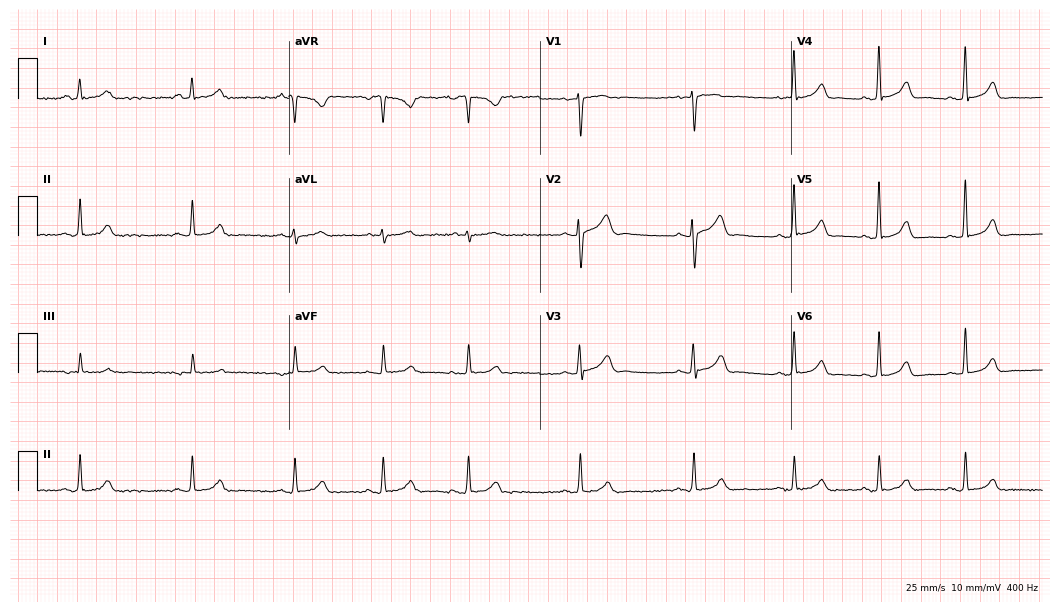
12-lead ECG from a female patient, 33 years old. No first-degree AV block, right bundle branch block (RBBB), left bundle branch block (LBBB), sinus bradycardia, atrial fibrillation (AF) or sinus tachycardia recorded for this tracing. Other findings, if any, are not listed.